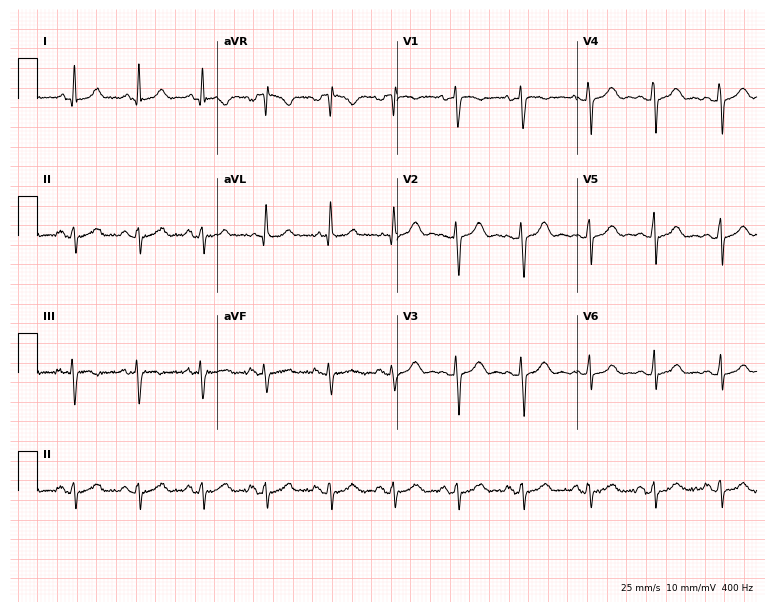
Standard 12-lead ECG recorded from a female patient, 39 years old (7.3-second recording at 400 Hz). None of these six findings is recorded: first-degree AV block, right bundle branch block (RBBB), left bundle branch block (LBBB), sinus bradycardia, atrial fibrillation (AF), sinus tachycardia.